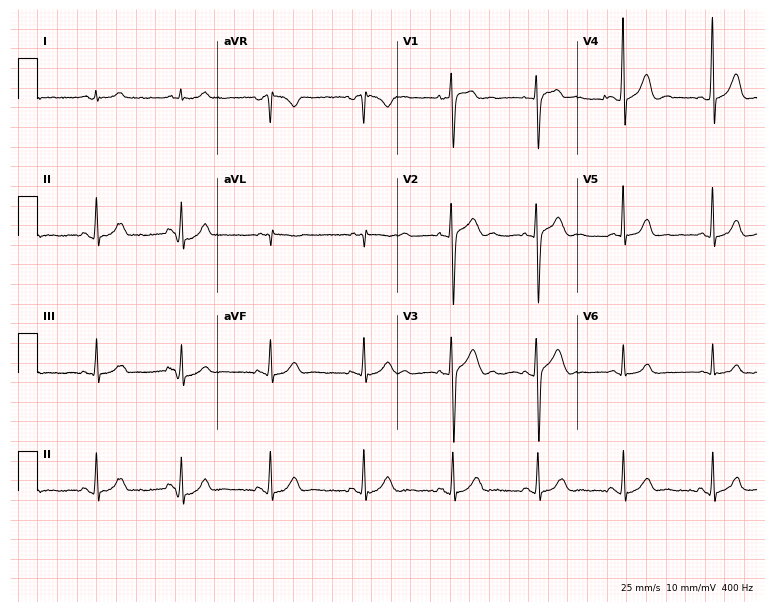
12-lead ECG from an 18-year-old male patient. Recorded interpretation: within normal limits.